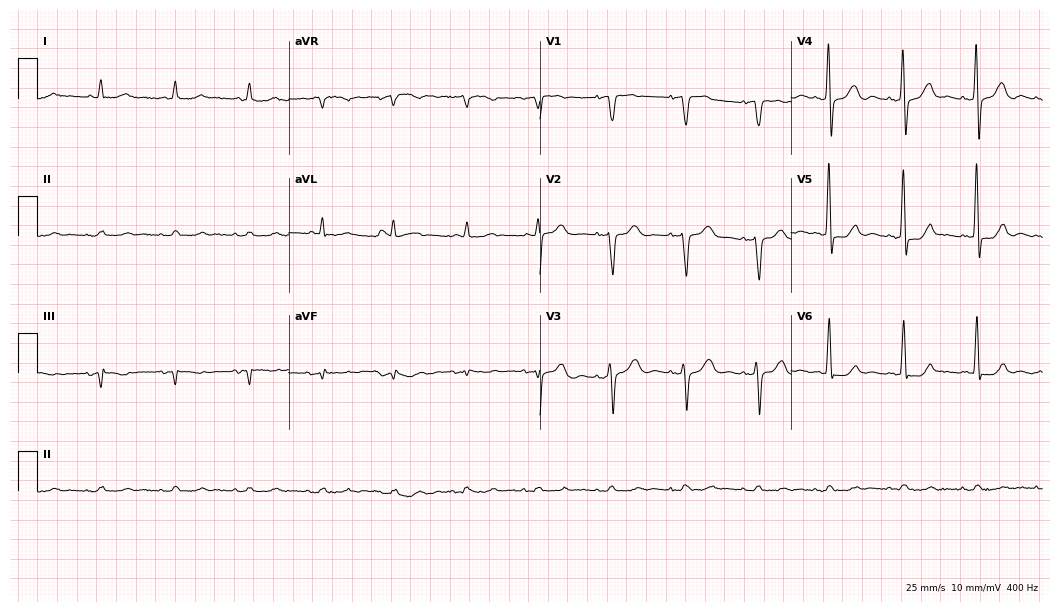
12-lead ECG (10.2-second recording at 400 Hz) from a man, 84 years old. Labelled as a normal ECG.